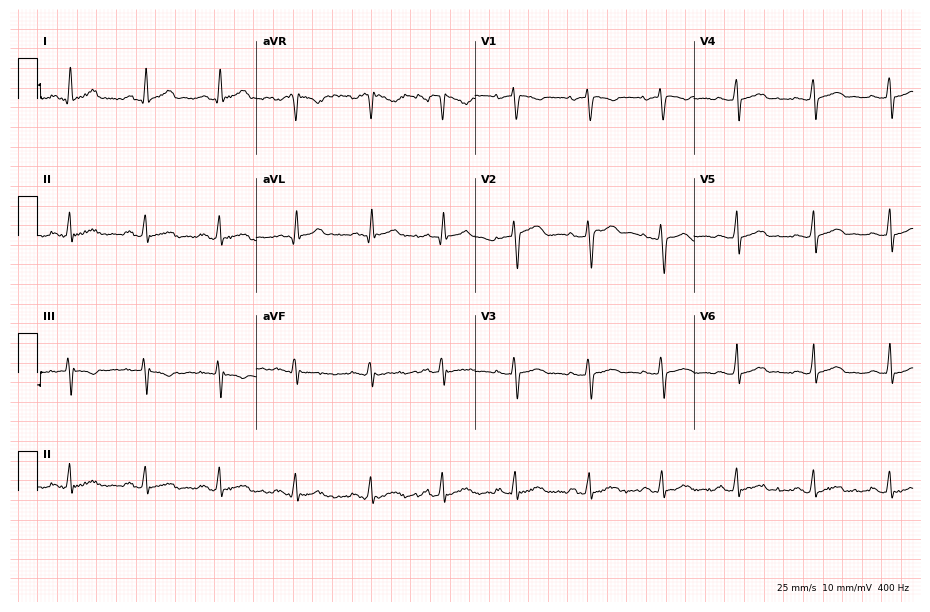
12-lead ECG from a female, 33 years old. Labelled as a normal ECG.